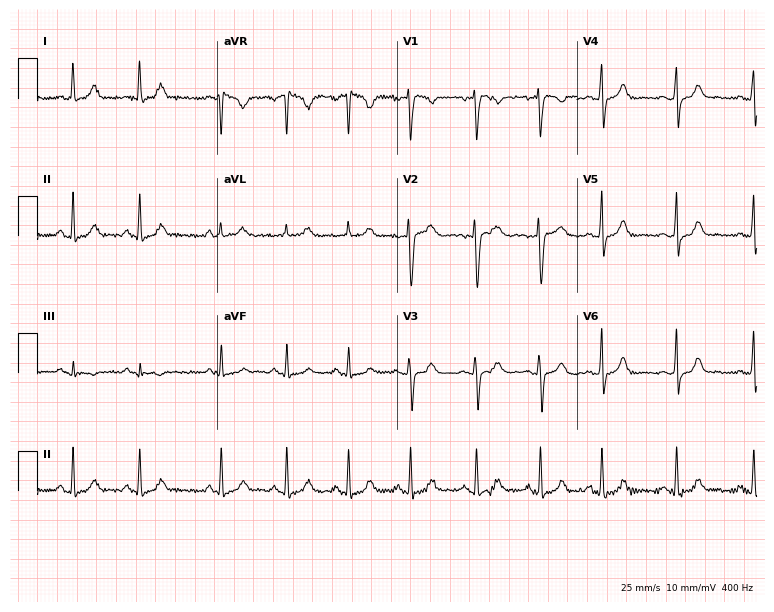
Resting 12-lead electrocardiogram (7.3-second recording at 400 Hz). Patient: a woman, 30 years old. Read as a normal ECG.